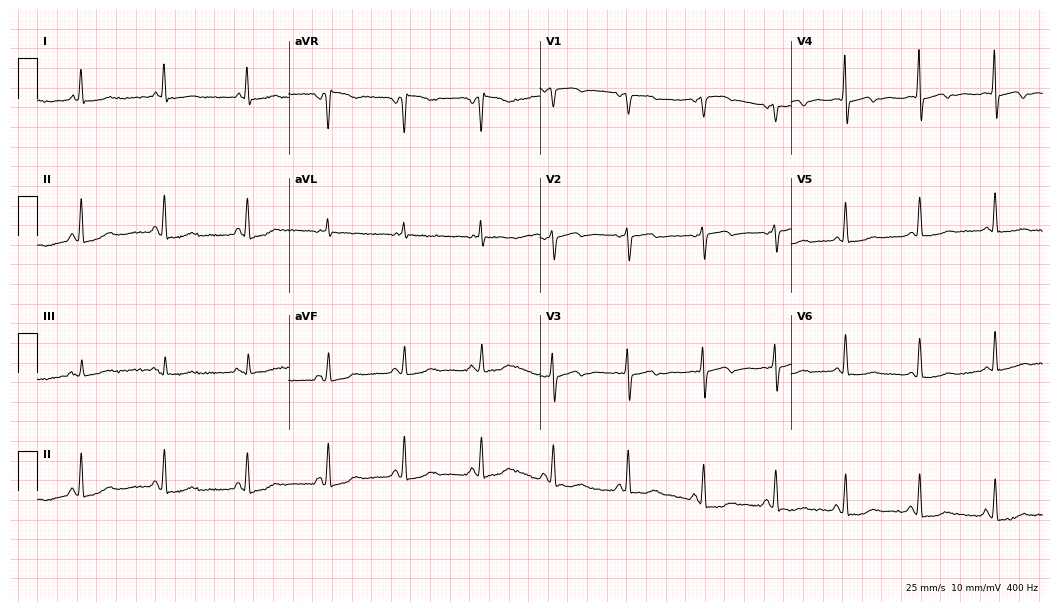
Resting 12-lead electrocardiogram (10.2-second recording at 400 Hz). Patient: a woman, 79 years old. None of these six findings is recorded: first-degree AV block, right bundle branch block, left bundle branch block, sinus bradycardia, atrial fibrillation, sinus tachycardia. Findings outside these six are not listed.